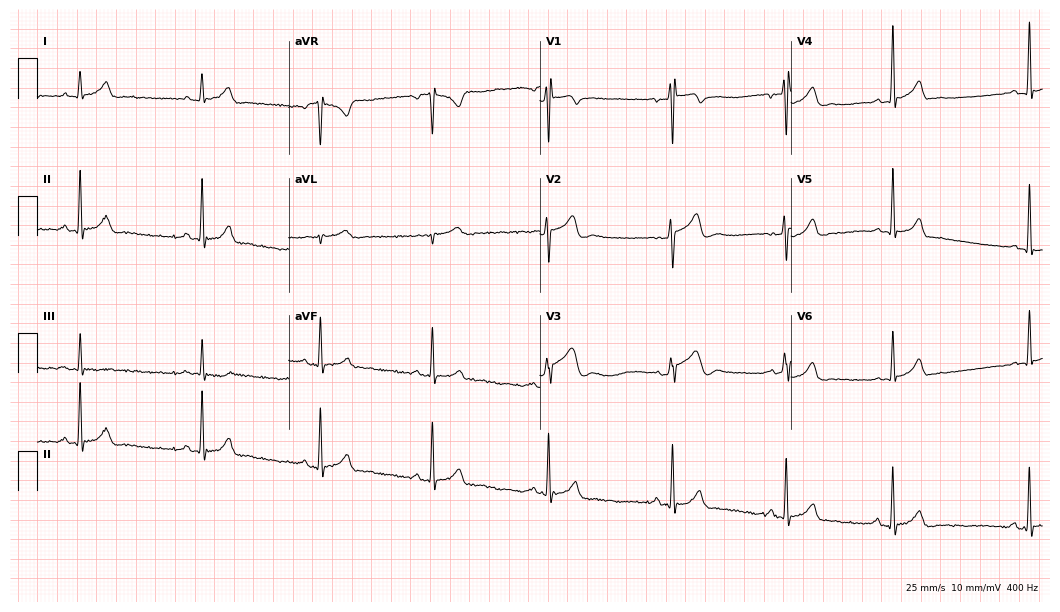
Resting 12-lead electrocardiogram (10.2-second recording at 400 Hz). Patient: a male, 20 years old. The tracing shows sinus bradycardia (a sinus rate of 50 beats per minute or less).